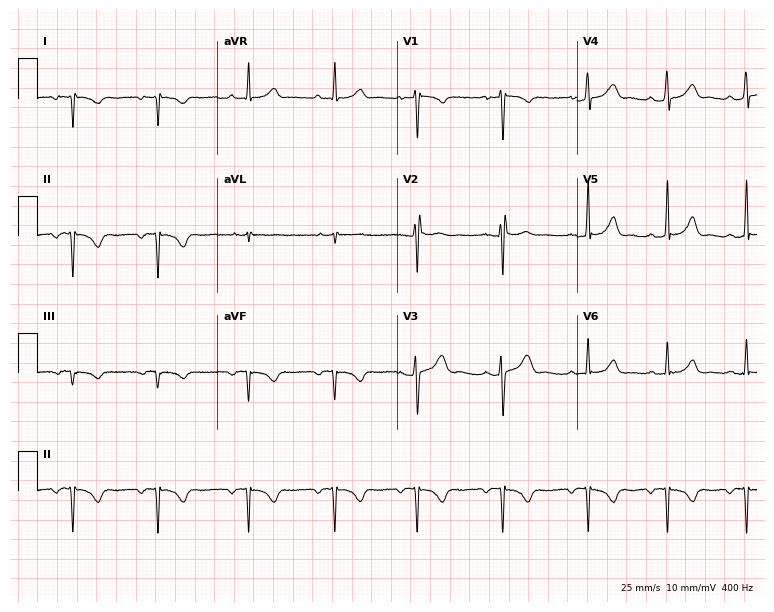
Standard 12-lead ECG recorded from a 27-year-old woman. None of these six findings is recorded: first-degree AV block, right bundle branch block, left bundle branch block, sinus bradycardia, atrial fibrillation, sinus tachycardia.